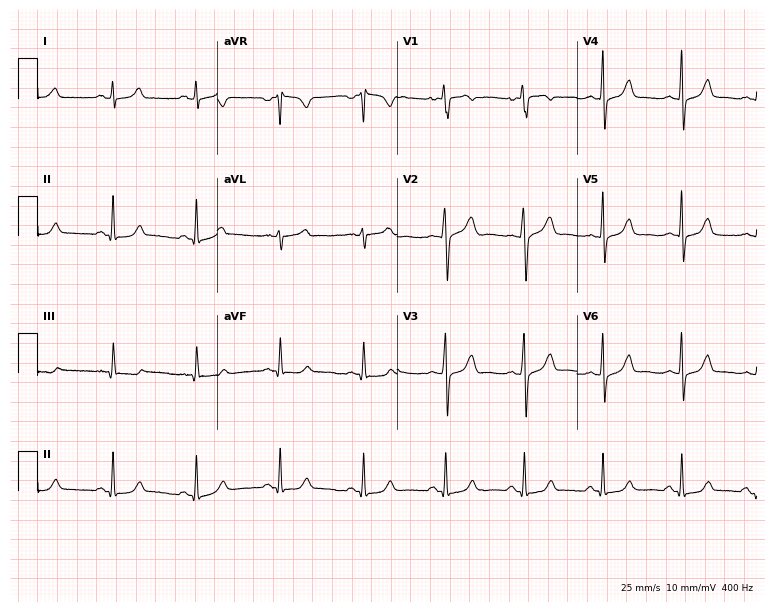
Resting 12-lead electrocardiogram (7.3-second recording at 400 Hz). Patient: a 33-year-old female. None of these six findings is recorded: first-degree AV block, right bundle branch block, left bundle branch block, sinus bradycardia, atrial fibrillation, sinus tachycardia. Findings outside these six are not listed.